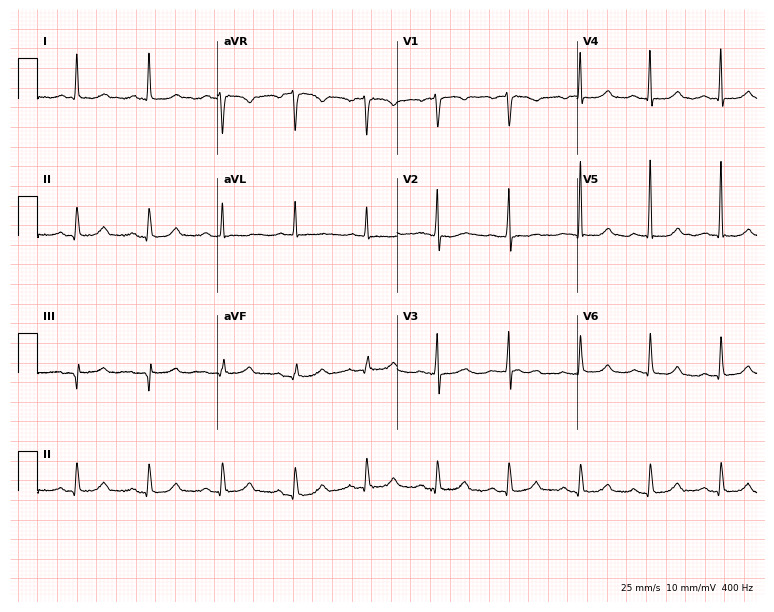
ECG (7.3-second recording at 400 Hz) — a female patient, 62 years old. Labelled as a normal ECG.